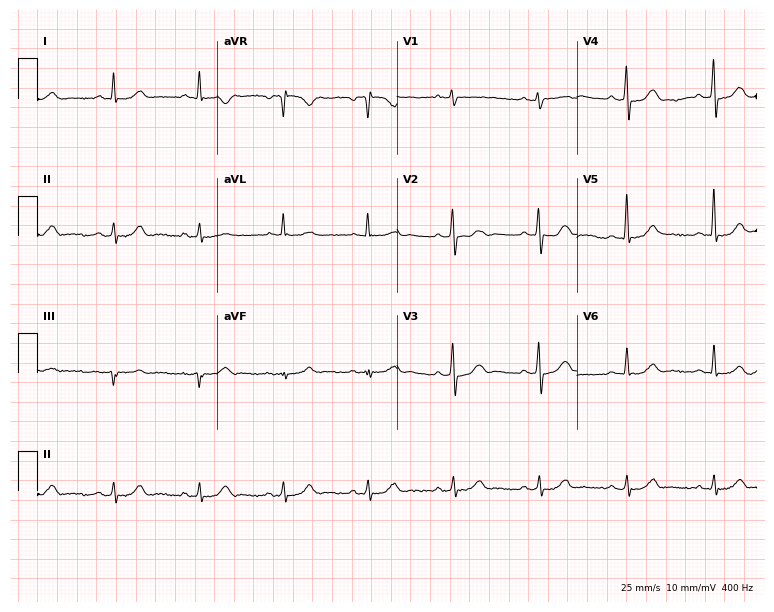
12-lead ECG from a male patient, 82 years old (7.3-second recording at 400 Hz). No first-degree AV block, right bundle branch block (RBBB), left bundle branch block (LBBB), sinus bradycardia, atrial fibrillation (AF) or sinus tachycardia recorded for this tracing.